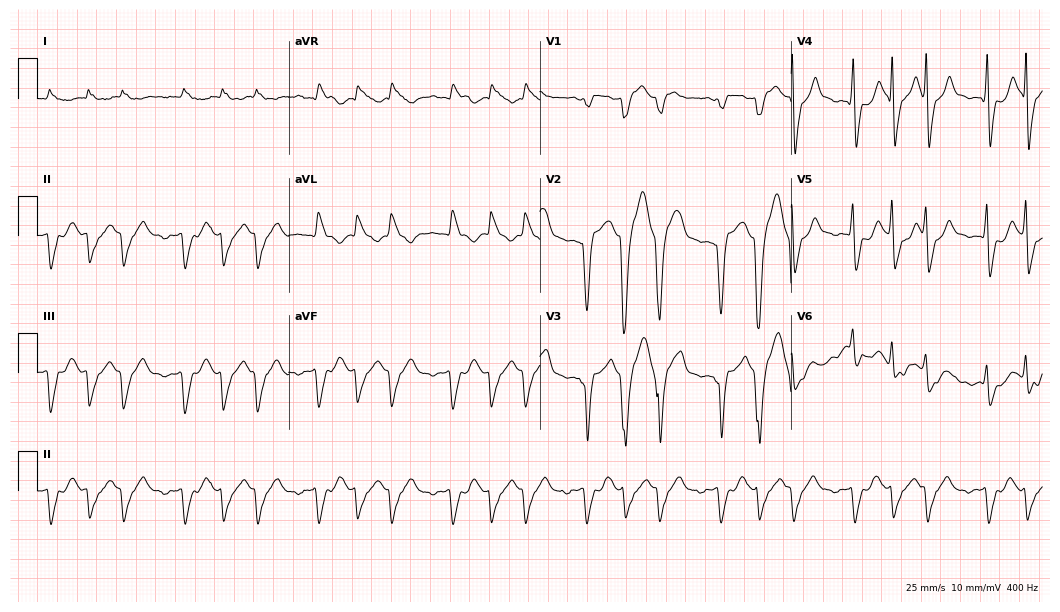
Resting 12-lead electrocardiogram (10.2-second recording at 400 Hz). Patient: a female, 78 years old. None of these six findings is recorded: first-degree AV block, right bundle branch block, left bundle branch block, sinus bradycardia, atrial fibrillation, sinus tachycardia. Only these six findings were labelled.